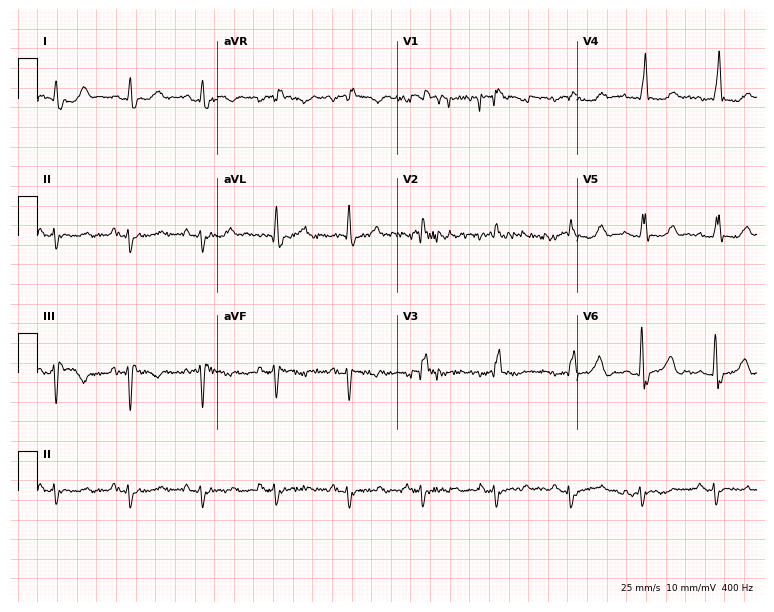
Resting 12-lead electrocardiogram. Patient: a female, 83 years old. None of these six findings is recorded: first-degree AV block, right bundle branch block (RBBB), left bundle branch block (LBBB), sinus bradycardia, atrial fibrillation (AF), sinus tachycardia. Other findings, if any, are not listed.